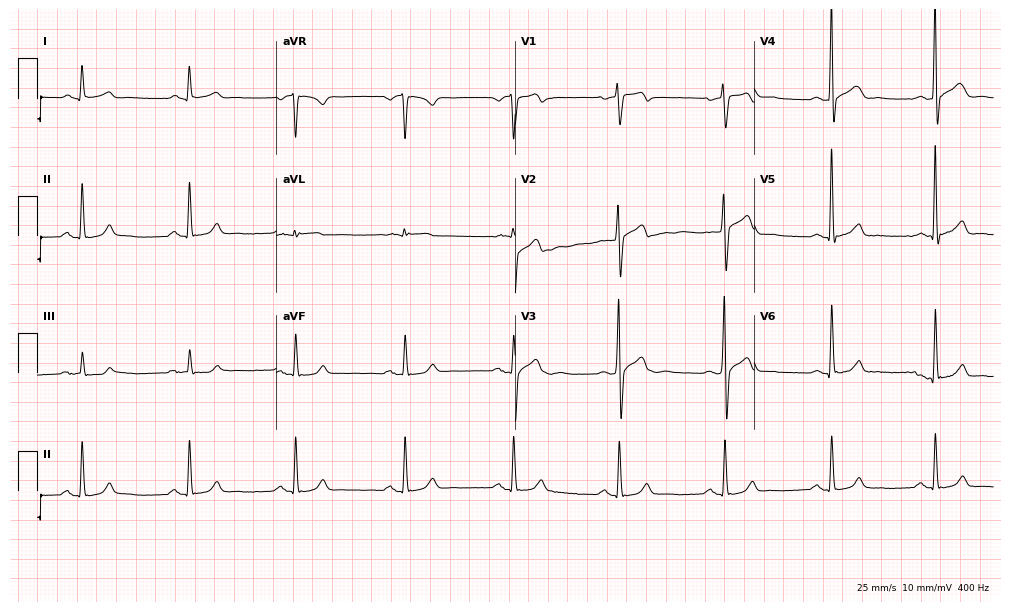
Electrocardiogram, a male, 61 years old. Overall reading on record: normal ECG.